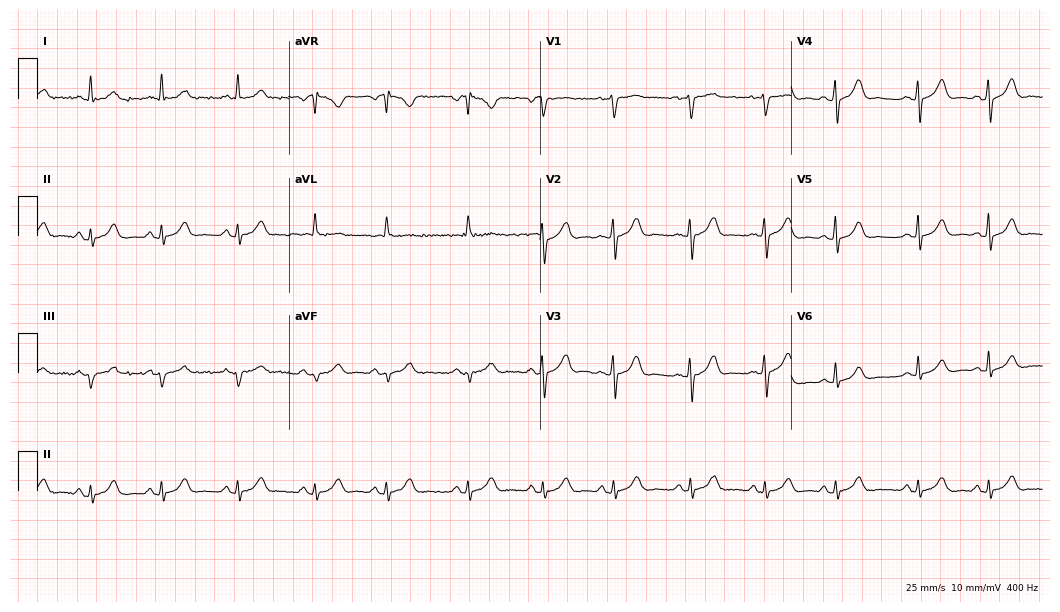
12-lead ECG from a 62-year-old woman. Labelled as a normal ECG.